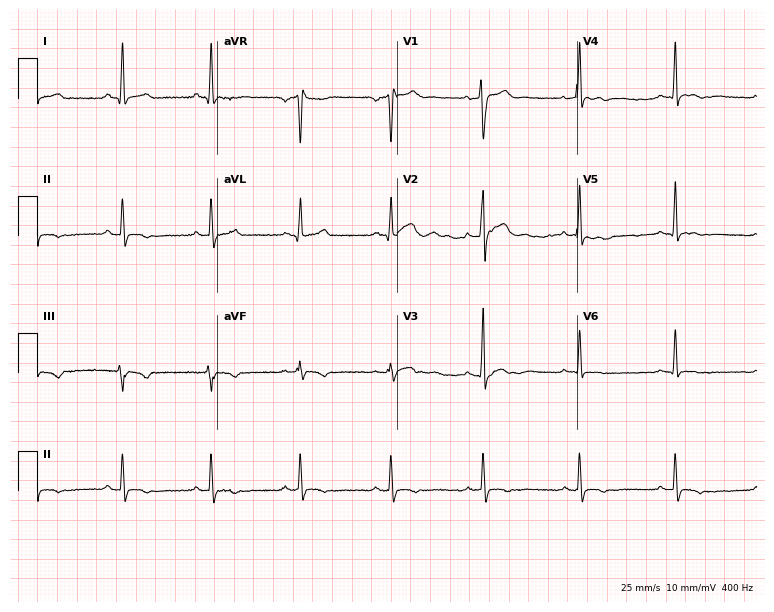
12-lead ECG from a 25-year-old man. Screened for six findings — first-degree AV block, right bundle branch block, left bundle branch block, sinus bradycardia, atrial fibrillation, sinus tachycardia — none is recorded. Findings outside these six are not listed.